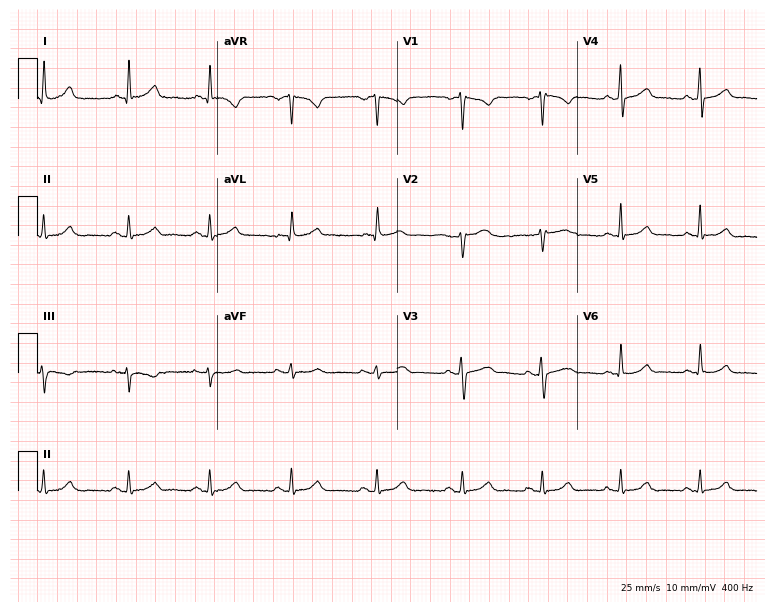
Electrocardiogram, a 28-year-old male patient. Overall reading on record: normal ECG.